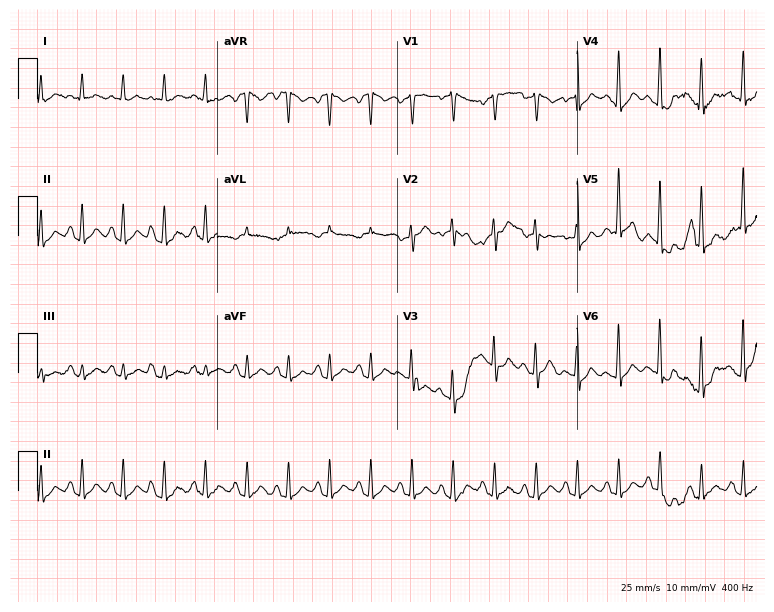
Electrocardiogram (7.3-second recording at 400 Hz), a 74-year-old female patient. Interpretation includes sinus tachycardia (a sinus rate of 100 beats per minute or more).